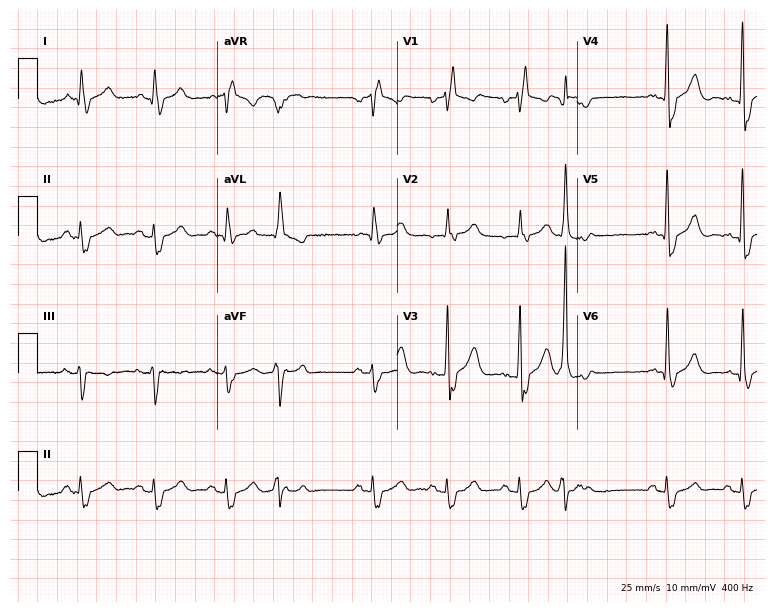
Resting 12-lead electrocardiogram (7.3-second recording at 400 Hz). Patient: an 81-year-old man. The tracing shows right bundle branch block.